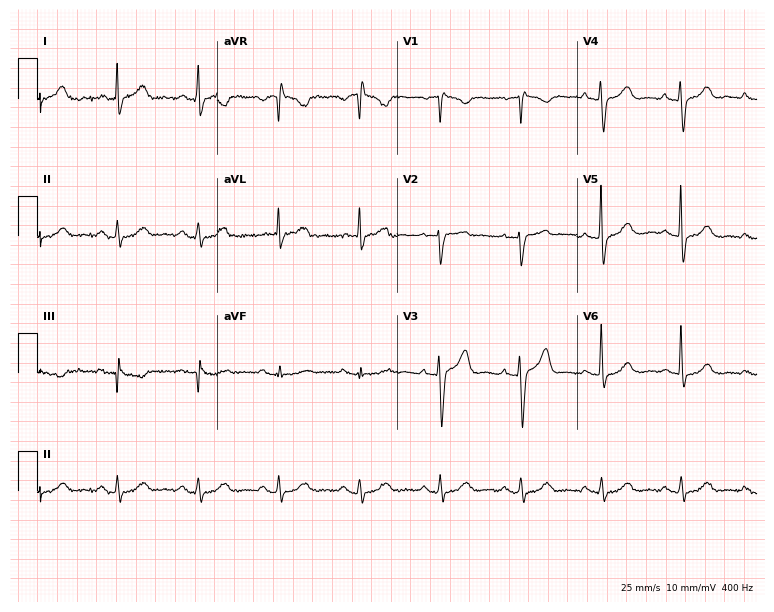
12-lead ECG from a woman, 68 years old. Labelled as a normal ECG.